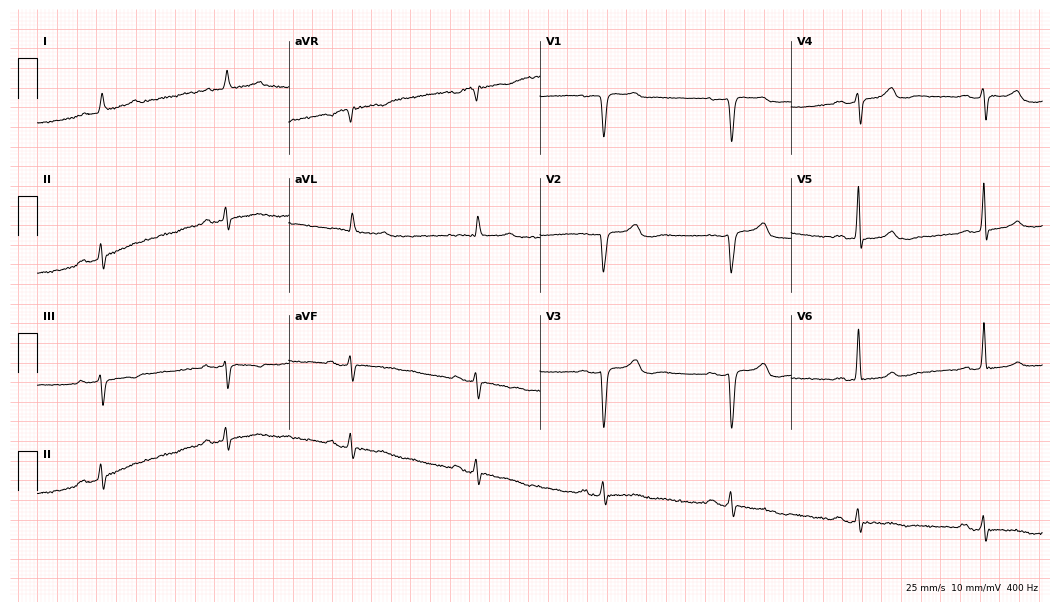
ECG — an 85-year-old male patient. Findings include sinus bradycardia (a sinus rate of 50 beats per minute or less).